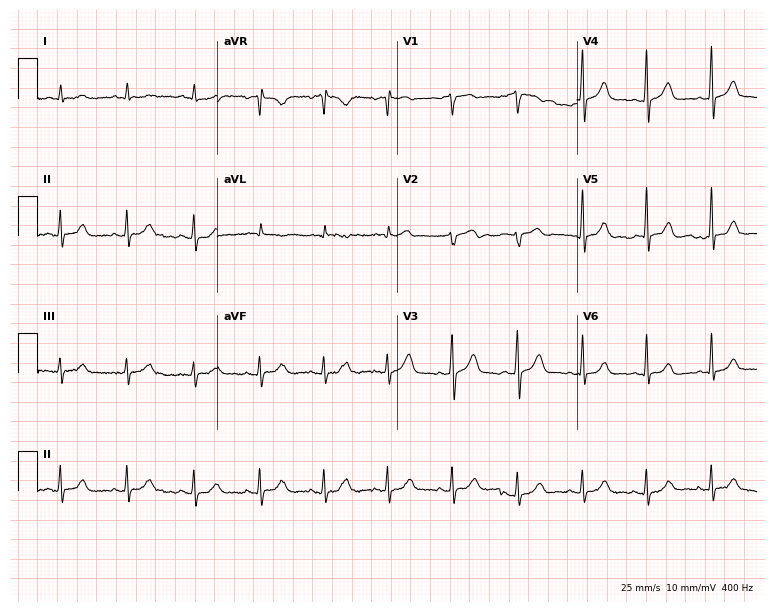
12-lead ECG from a male, 64 years old (7.3-second recording at 400 Hz). Recorded interpretation: within normal limits.